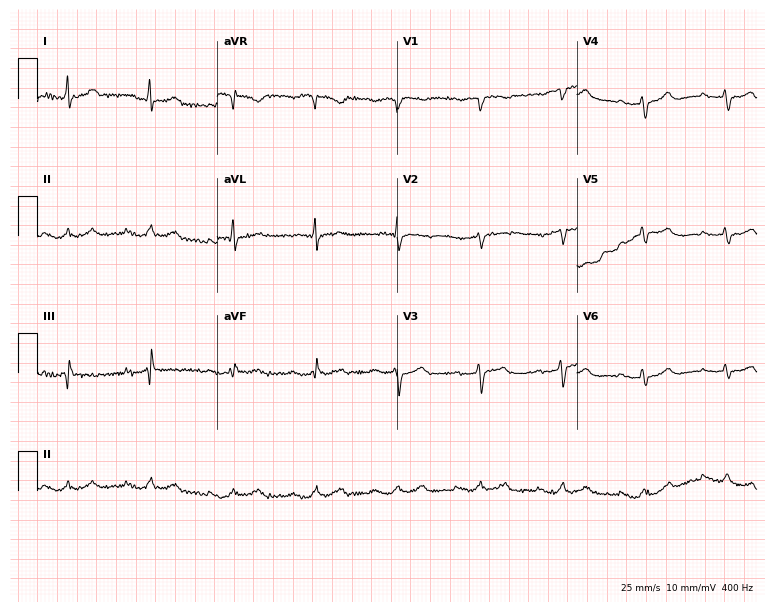
Standard 12-lead ECG recorded from a 74-year-old woman (7.3-second recording at 400 Hz). Read as a normal ECG.